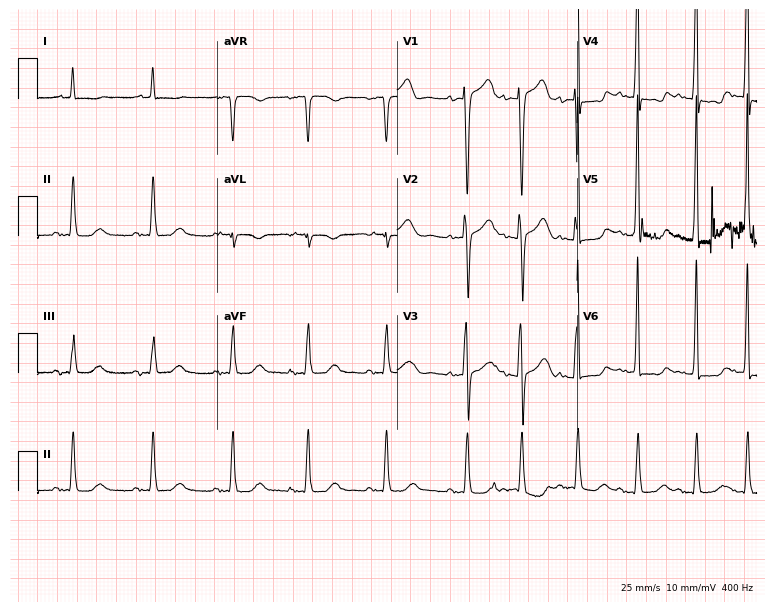
ECG — a man, 84 years old. Screened for six findings — first-degree AV block, right bundle branch block (RBBB), left bundle branch block (LBBB), sinus bradycardia, atrial fibrillation (AF), sinus tachycardia — none is recorded. Only these six findings were labelled.